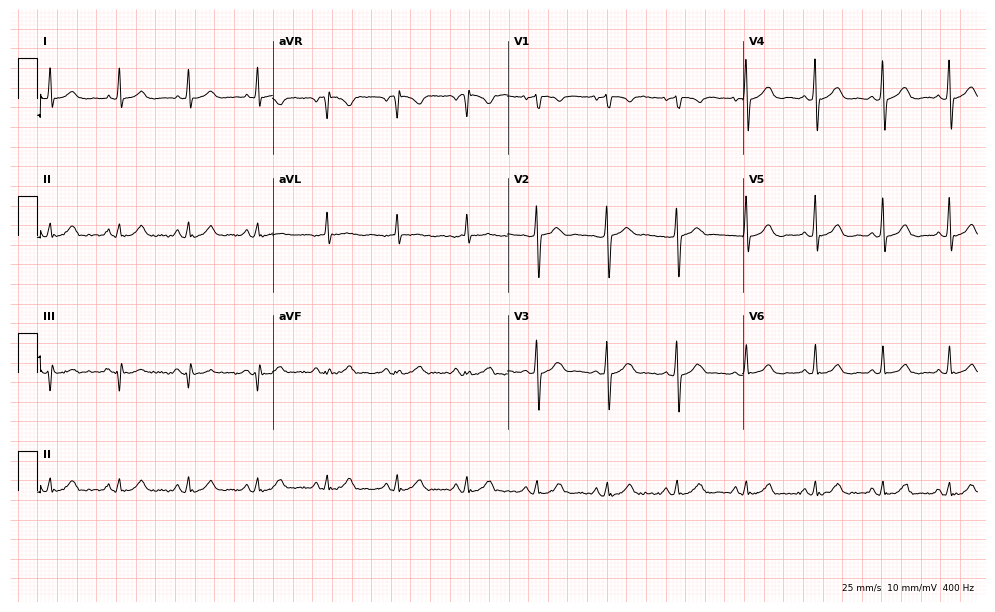
Electrocardiogram (9.6-second recording at 400 Hz), a male patient, 49 years old. Overall reading on record: normal ECG.